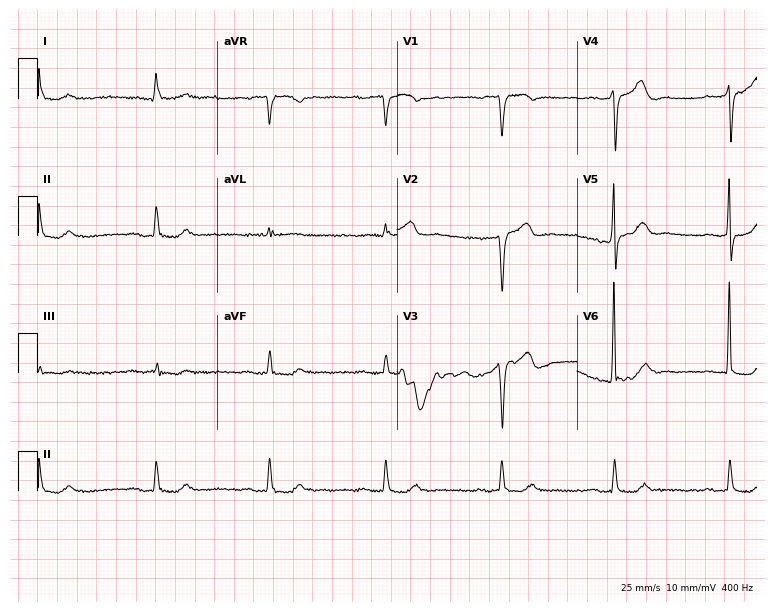
Resting 12-lead electrocardiogram (7.3-second recording at 400 Hz). Patient: a man, 70 years old. The tracing shows first-degree AV block.